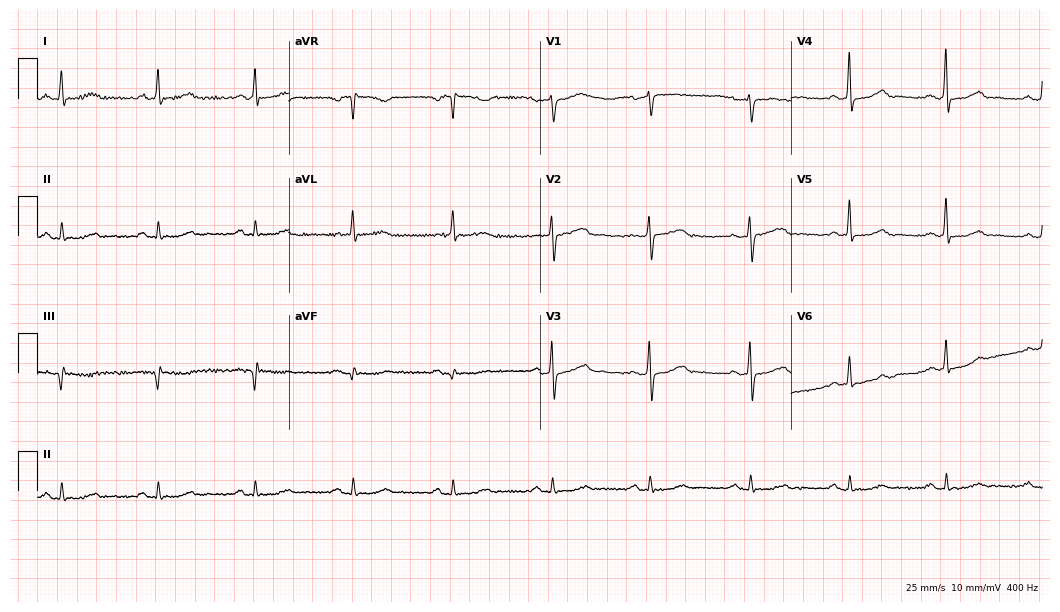
Standard 12-lead ECG recorded from a 63-year-old female patient. Read as a normal ECG.